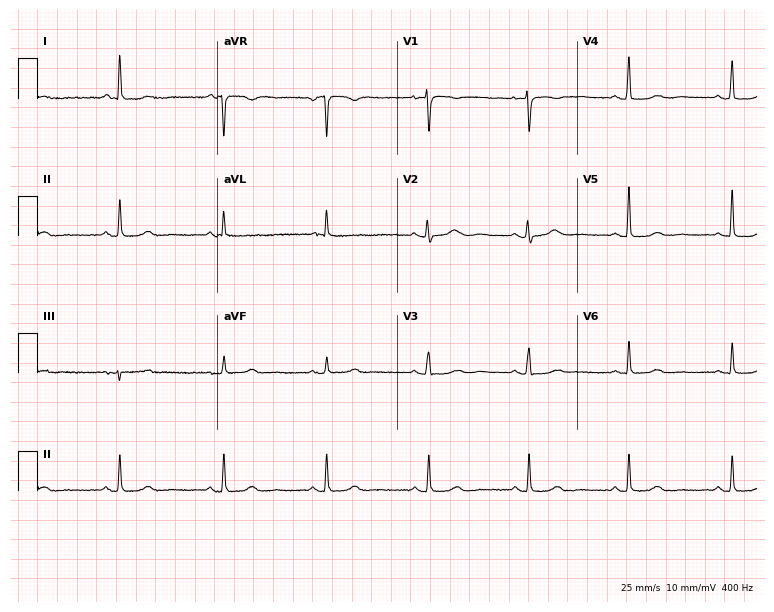
Standard 12-lead ECG recorded from a female, 62 years old (7.3-second recording at 400 Hz). None of these six findings is recorded: first-degree AV block, right bundle branch block (RBBB), left bundle branch block (LBBB), sinus bradycardia, atrial fibrillation (AF), sinus tachycardia. Only these six findings were labelled.